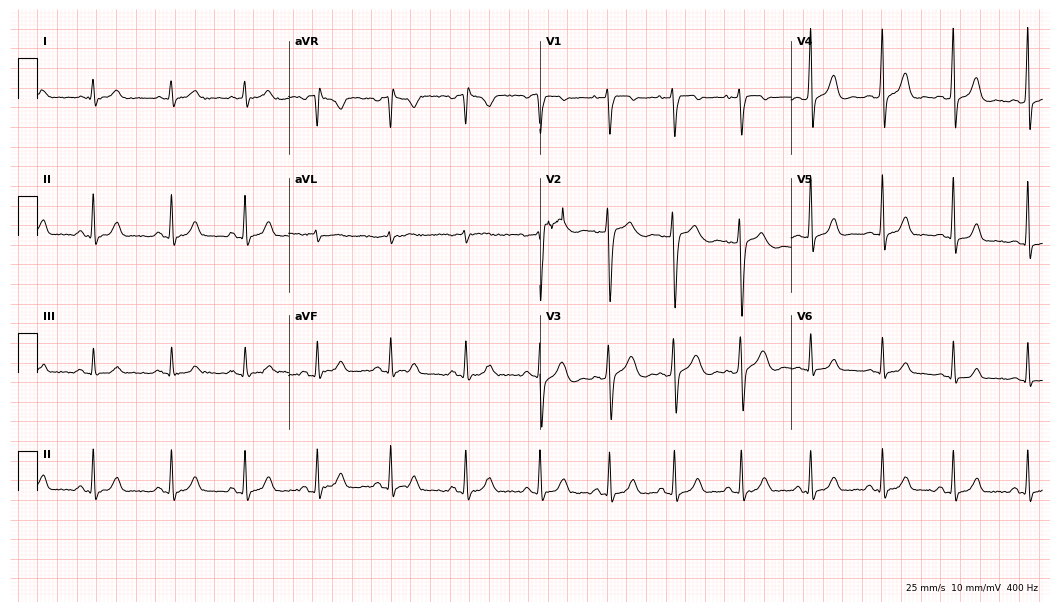
12-lead ECG (10.2-second recording at 400 Hz) from a male, 24 years old. Screened for six findings — first-degree AV block, right bundle branch block, left bundle branch block, sinus bradycardia, atrial fibrillation, sinus tachycardia — none is recorded. Only these six findings were labelled.